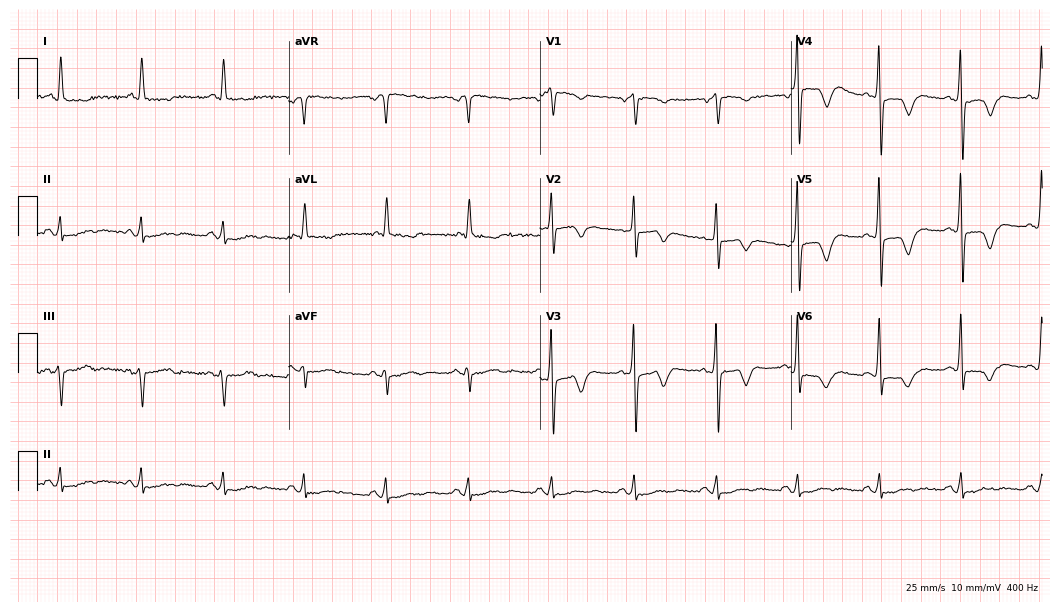
12-lead ECG from a male patient, 63 years old. No first-degree AV block, right bundle branch block, left bundle branch block, sinus bradycardia, atrial fibrillation or sinus tachycardia recorded for this tracing.